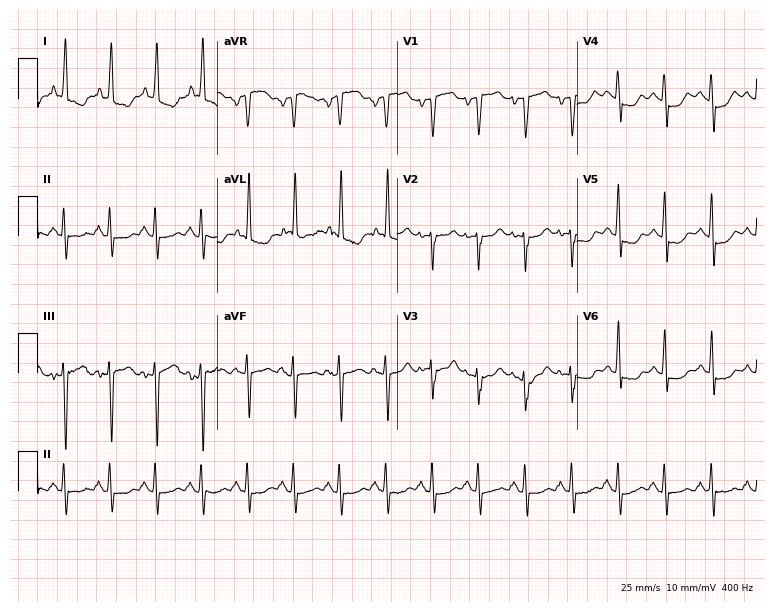
12-lead ECG from an 85-year-old female (7.3-second recording at 400 Hz). Shows sinus tachycardia (a sinus rate of 100 beats per minute or more).